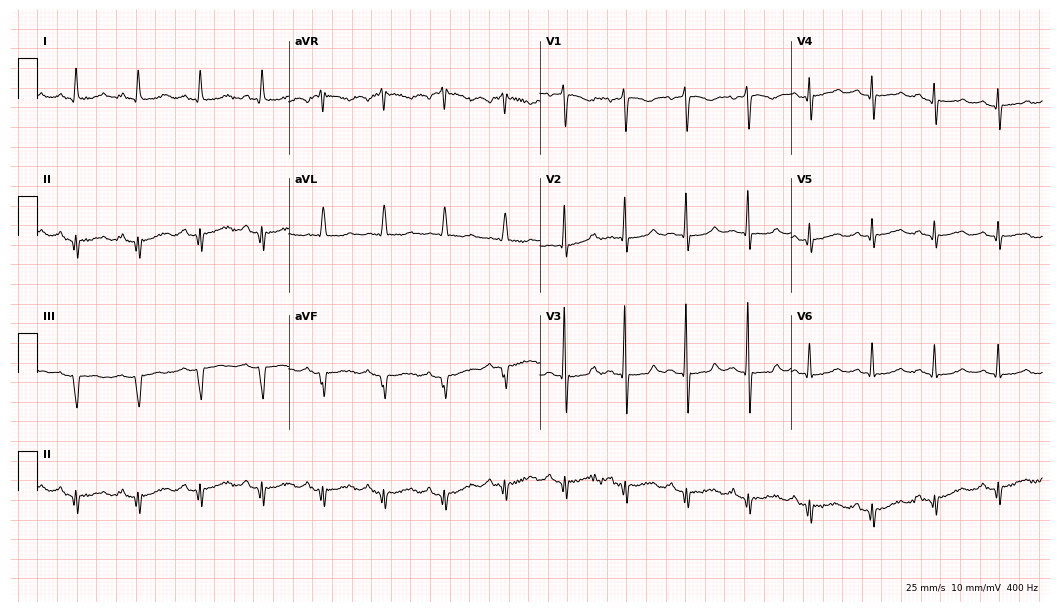
Standard 12-lead ECG recorded from a 55-year-old female patient. None of these six findings is recorded: first-degree AV block, right bundle branch block (RBBB), left bundle branch block (LBBB), sinus bradycardia, atrial fibrillation (AF), sinus tachycardia.